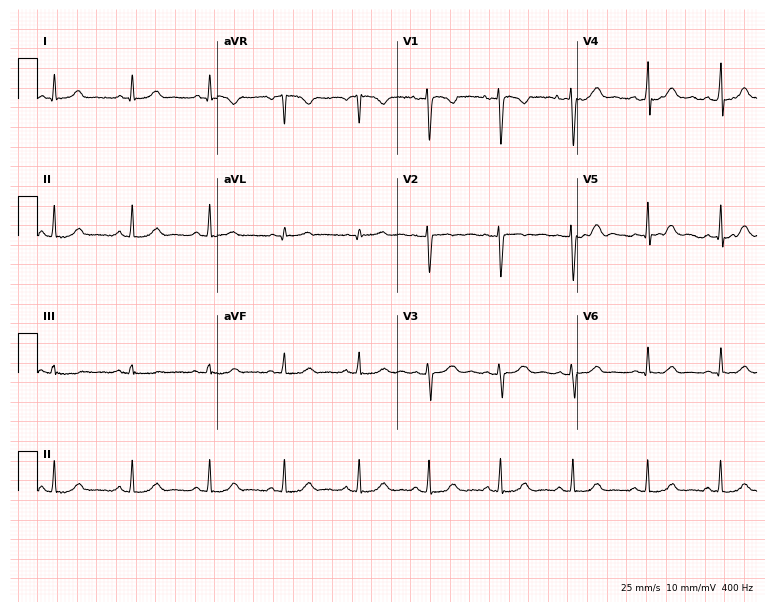
Resting 12-lead electrocardiogram (7.3-second recording at 400 Hz). Patient: a 25-year-old woman. None of these six findings is recorded: first-degree AV block, right bundle branch block, left bundle branch block, sinus bradycardia, atrial fibrillation, sinus tachycardia. Other findings, if any, are not listed.